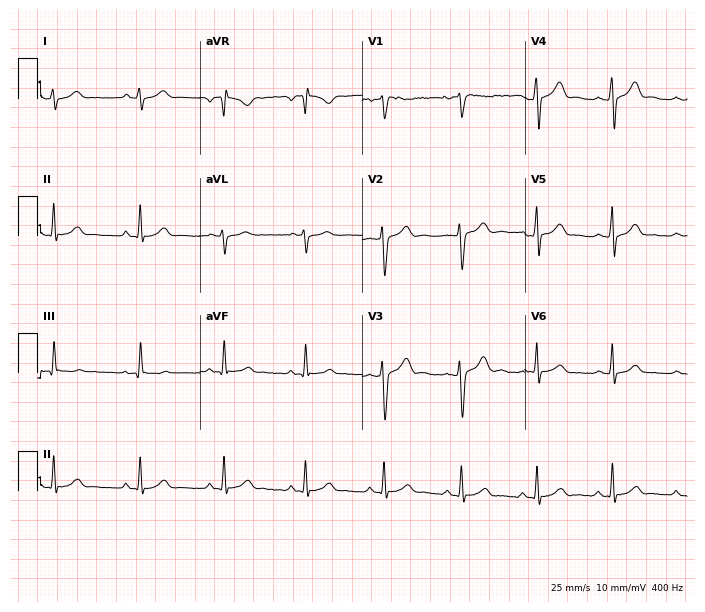
Standard 12-lead ECG recorded from a male, 32 years old. Read as a normal ECG.